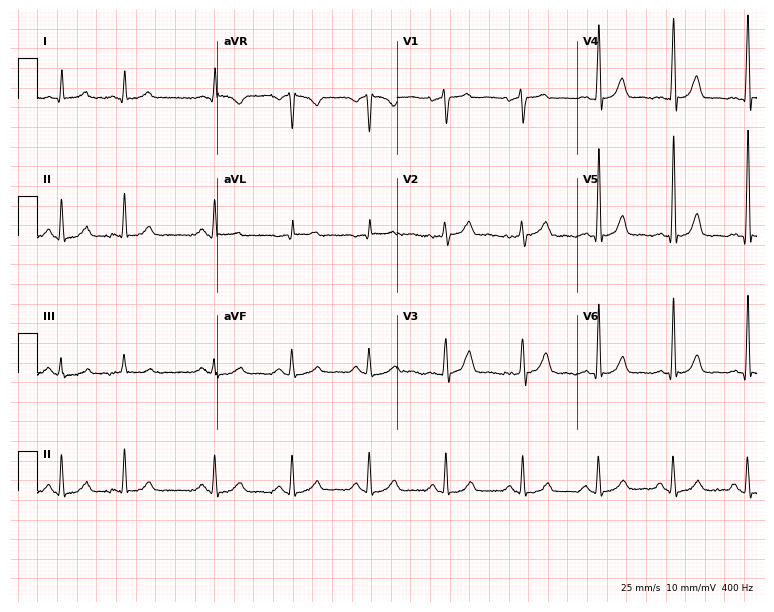
12-lead ECG from a 62-year-old male patient. Labelled as a normal ECG.